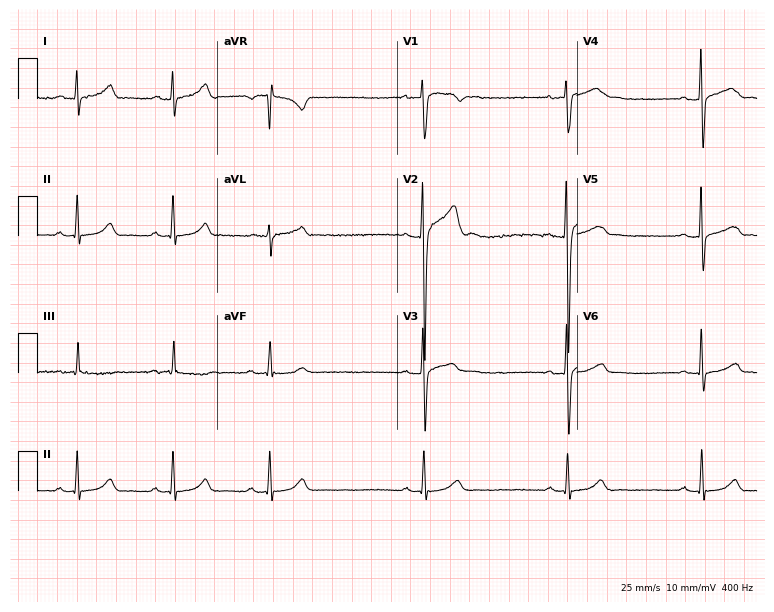
12-lead ECG from a man, 23 years old (7.3-second recording at 400 Hz). Recorded interpretation: within normal limits.